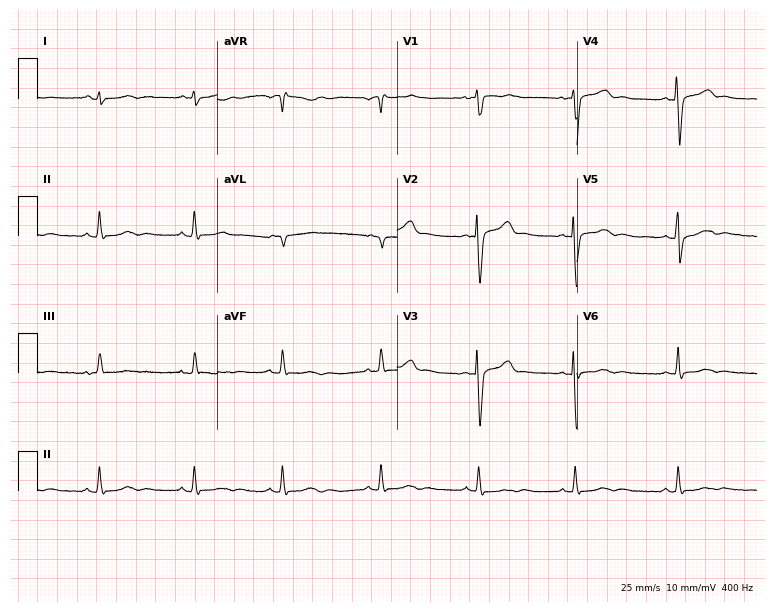
ECG — a 30-year-old woman. Screened for six findings — first-degree AV block, right bundle branch block, left bundle branch block, sinus bradycardia, atrial fibrillation, sinus tachycardia — none is recorded.